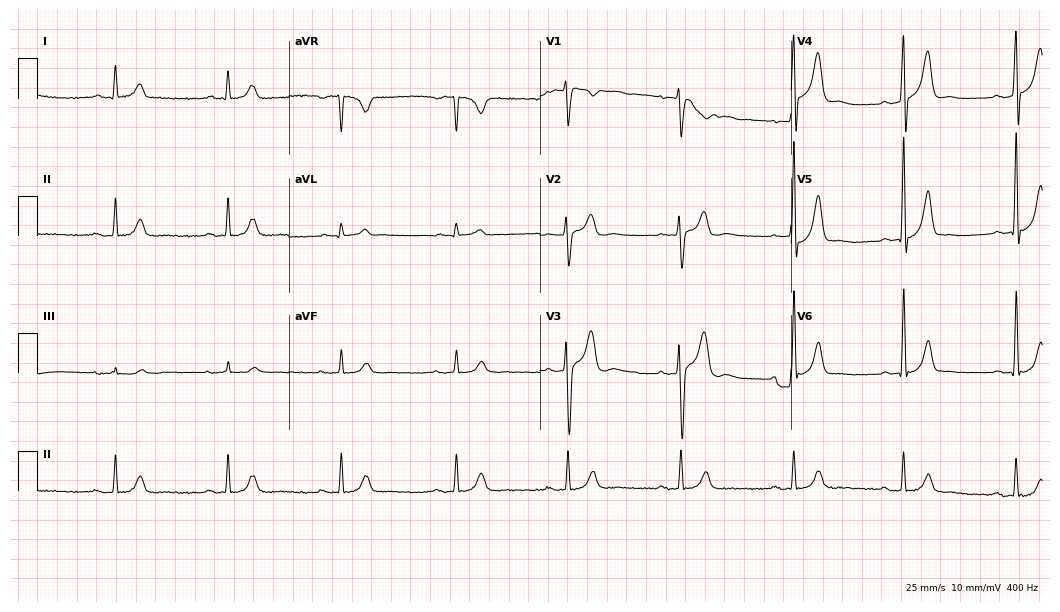
ECG (10.2-second recording at 400 Hz) — a male patient, 46 years old. Screened for six findings — first-degree AV block, right bundle branch block, left bundle branch block, sinus bradycardia, atrial fibrillation, sinus tachycardia — none is recorded. Only these six findings were labelled.